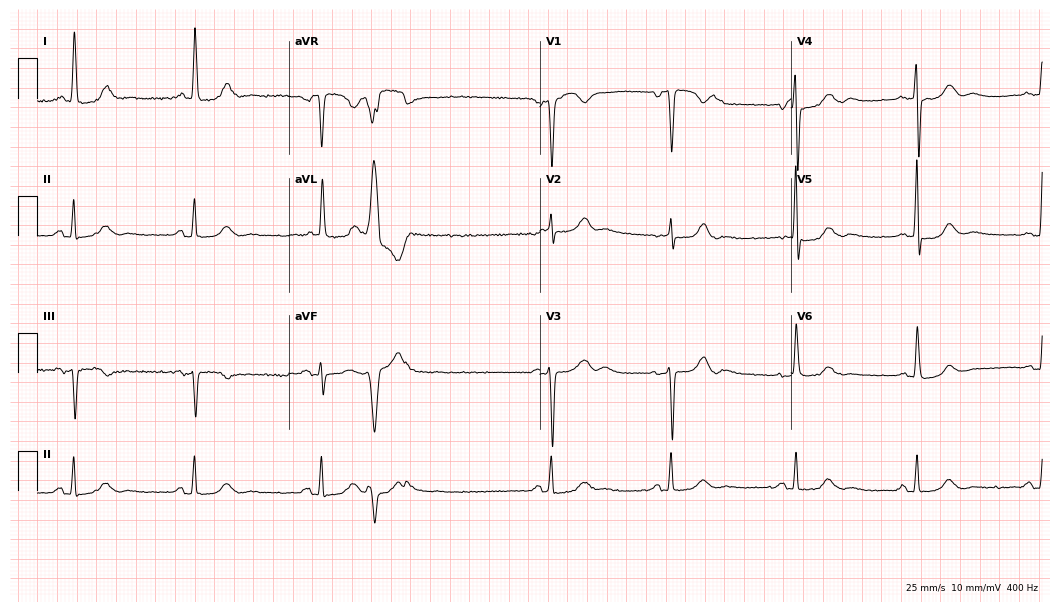
12-lead ECG from an 82-year-old female (10.2-second recording at 400 Hz). Shows sinus bradycardia (a sinus rate of 50 beats per minute or less).